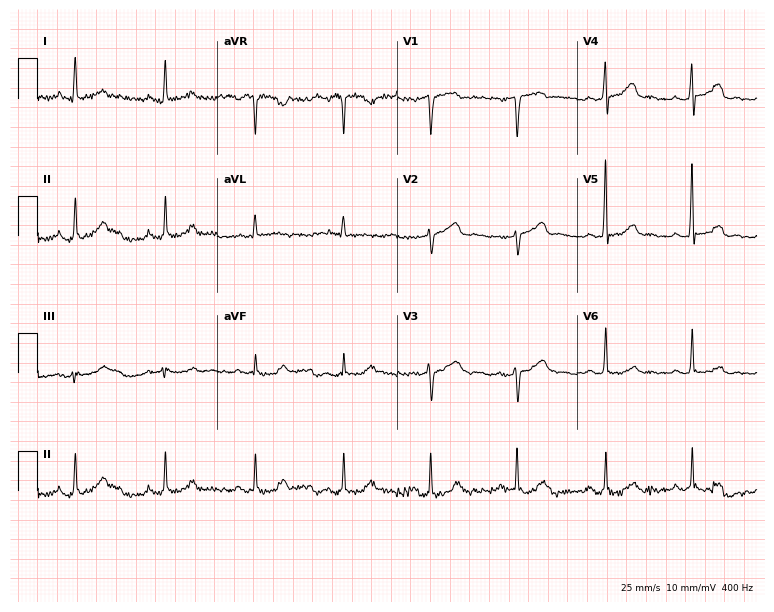
Electrocardiogram, a female patient, 52 years old. Overall reading on record: normal ECG.